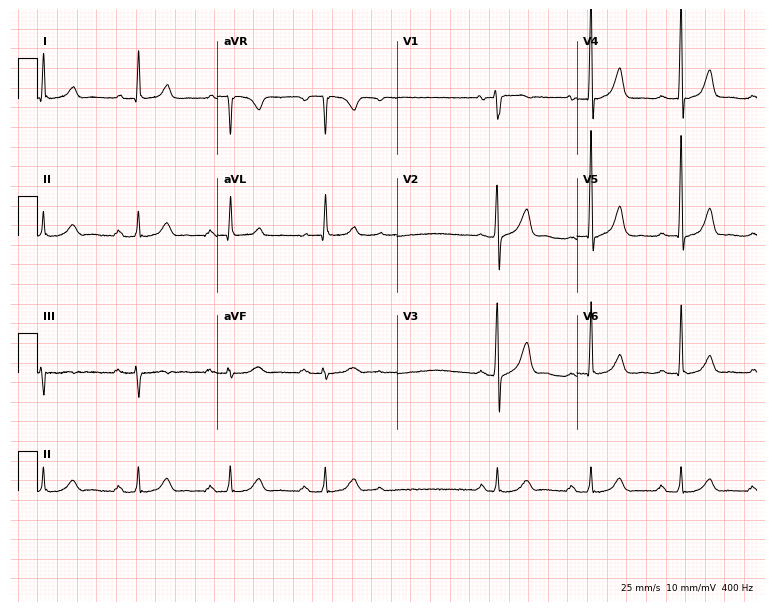
Resting 12-lead electrocardiogram (7.3-second recording at 400 Hz). Patient: a 67-year-old man. The tracing shows first-degree AV block.